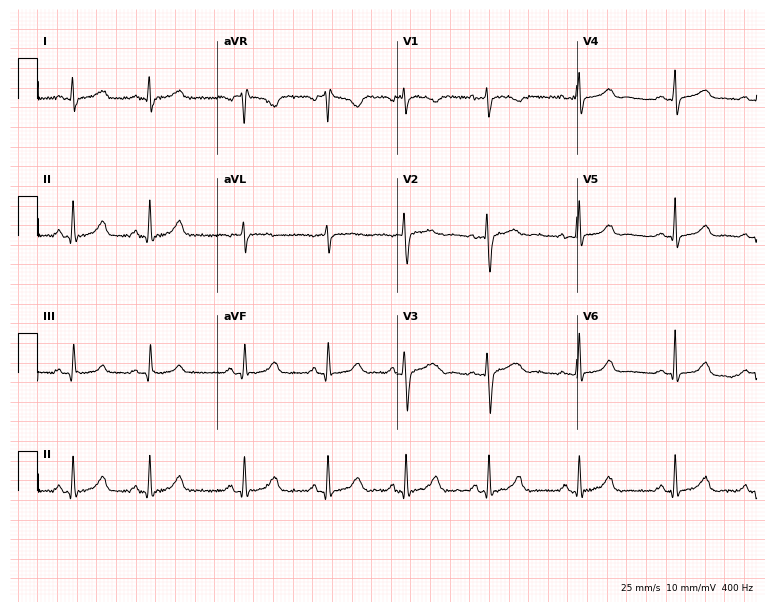
12-lead ECG from a woman, 31 years old. Recorded interpretation: within normal limits.